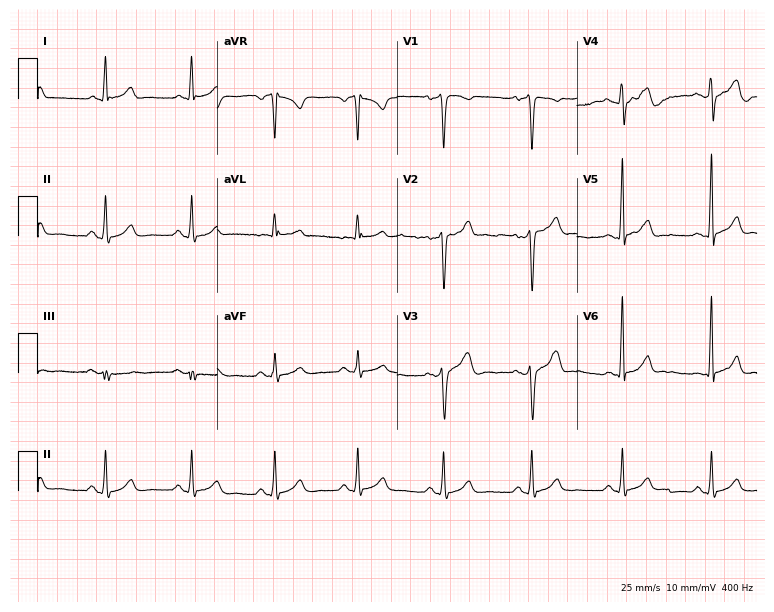
Electrocardiogram, a 44-year-old male. Overall reading on record: normal ECG.